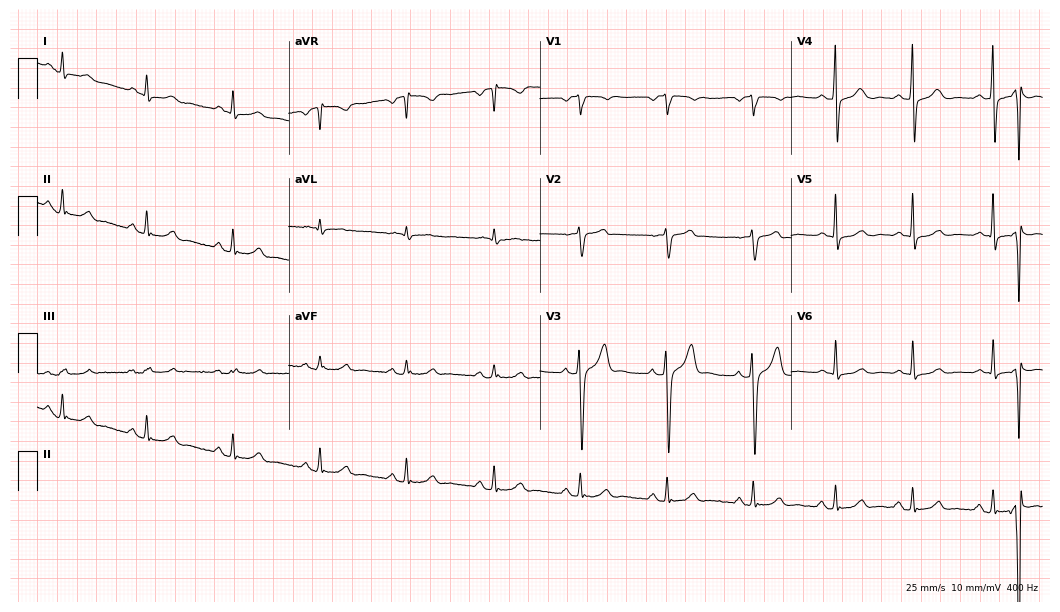
ECG (10.2-second recording at 400 Hz) — a 58-year-old male patient. Labelled as a normal ECG.